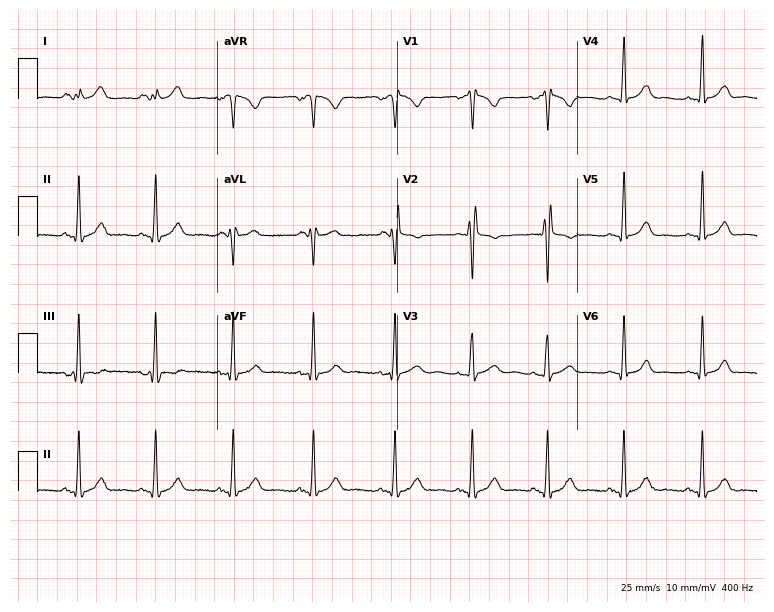
ECG (7.3-second recording at 400 Hz) — a 36-year-old female. Labelled as a normal ECG.